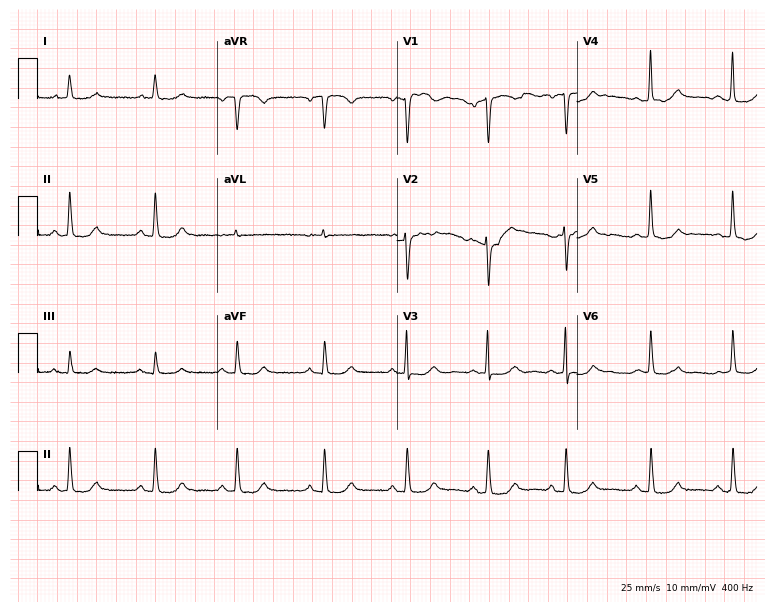
Electrocardiogram, a female patient, 68 years old. Of the six screened findings (first-degree AV block, right bundle branch block (RBBB), left bundle branch block (LBBB), sinus bradycardia, atrial fibrillation (AF), sinus tachycardia), none is recorded.